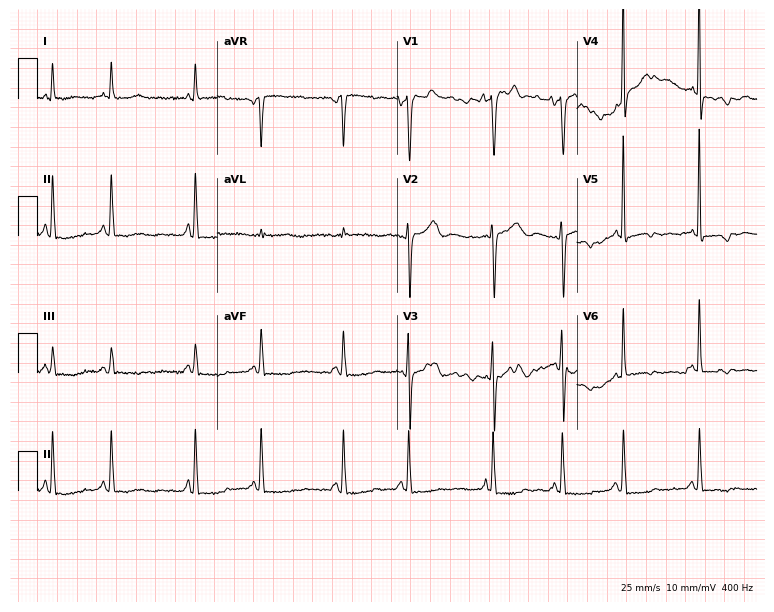
12-lead ECG from a 71-year-old woman. No first-degree AV block, right bundle branch block (RBBB), left bundle branch block (LBBB), sinus bradycardia, atrial fibrillation (AF) or sinus tachycardia recorded for this tracing. Only these six findings were labelled.